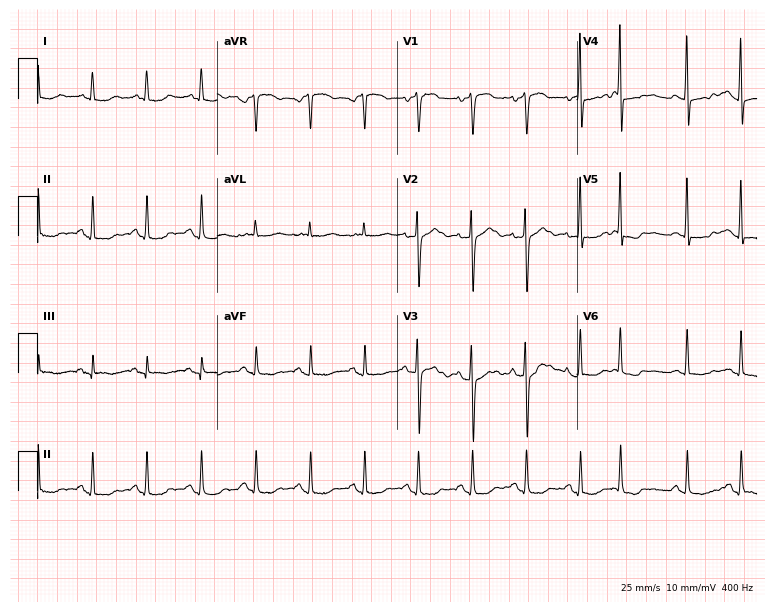
Resting 12-lead electrocardiogram. Patient: a 76-year-old woman. None of these six findings is recorded: first-degree AV block, right bundle branch block, left bundle branch block, sinus bradycardia, atrial fibrillation, sinus tachycardia.